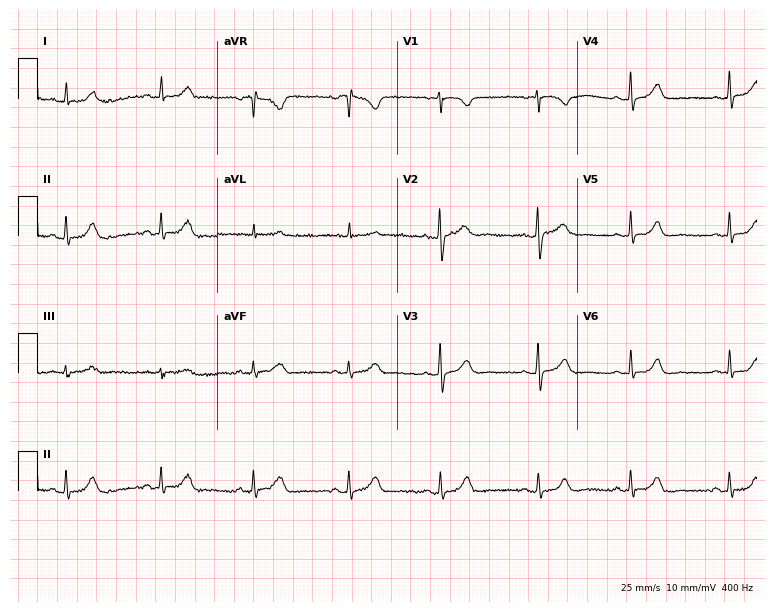
12-lead ECG (7.3-second recording at 400 Hz) from a female patient, 32 years old. Labelled as a normal ECG.